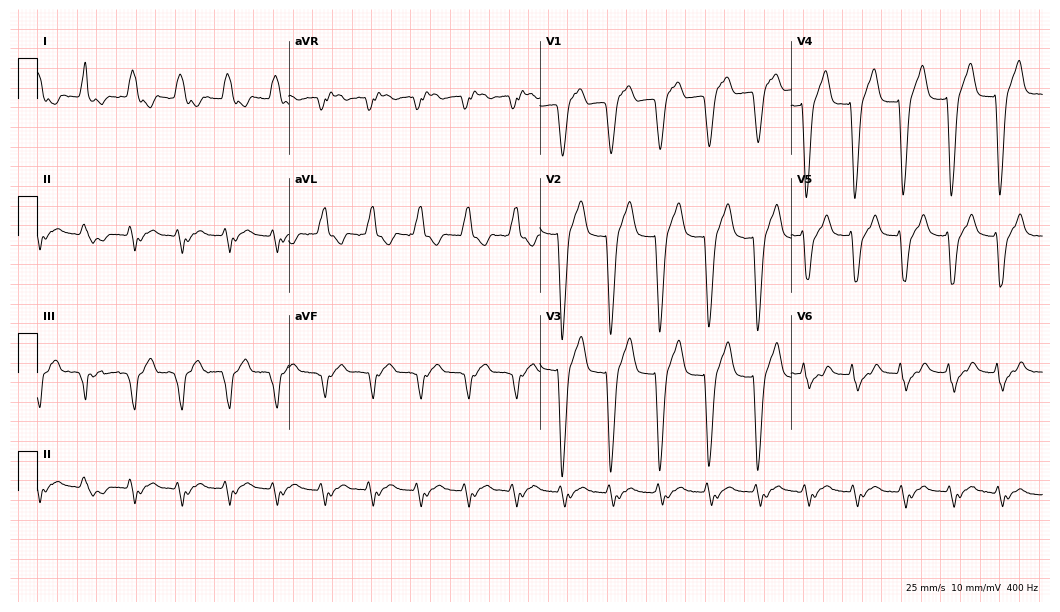
12-lead ECG from a 77-year-old male (10.2-second recording at 400 Hz). Shows atrial fibrillation.